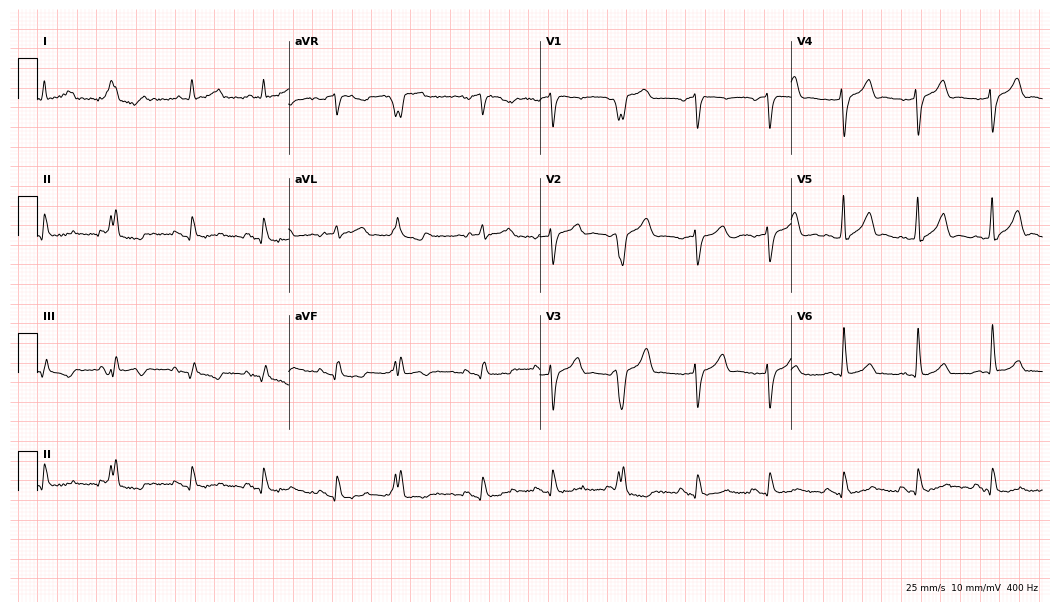
12-lead ECG (10.2-second recording at 400 Hz) from a 67-year-old male patient. Screened for six findings — first-degree AV block, right bundle branch block, left bundle branch block, sinus bradycardia, atrial fibrillation, sinus tachycardia — none is recorded.